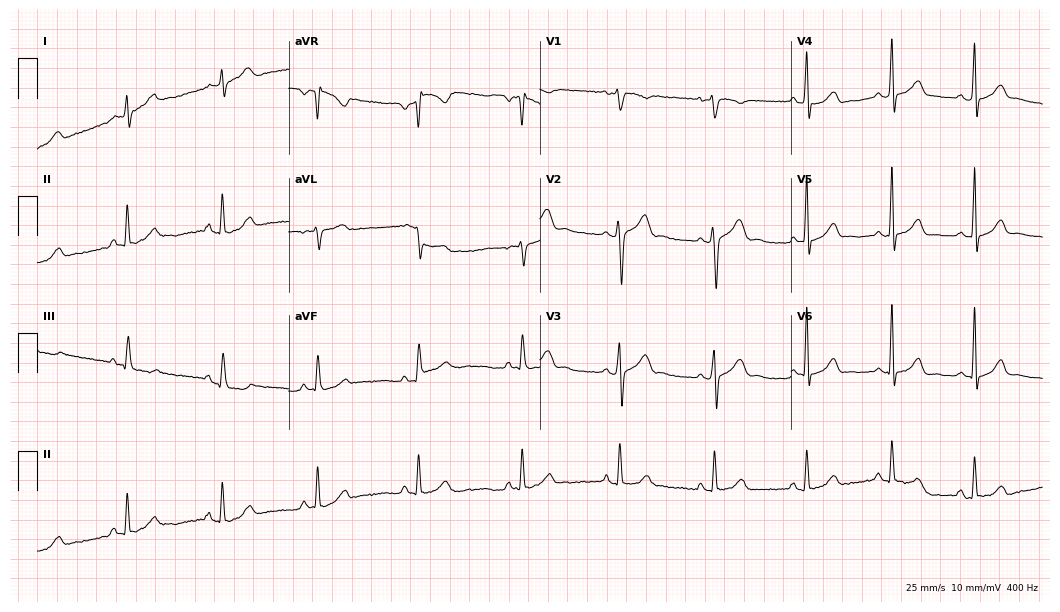
ECG — a male patient, 36 years old. Screened for six findings — first-degree AV block, right bundle branch block, left bundle branch block, sinus bradycardia, atrial fibrillation, sinus tachycardia — none is recorded. Other findings, if any, are not listed.